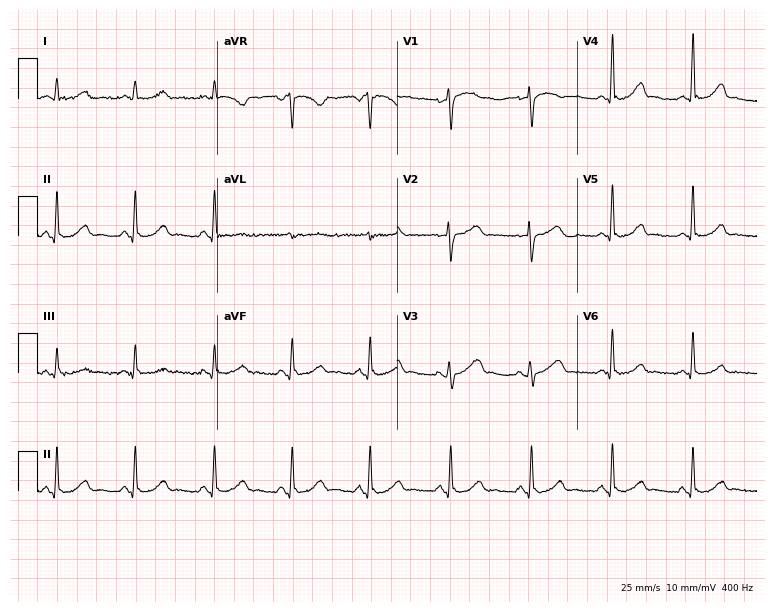
ECG — a 54-year-old female. Labelled as a normal ECG.